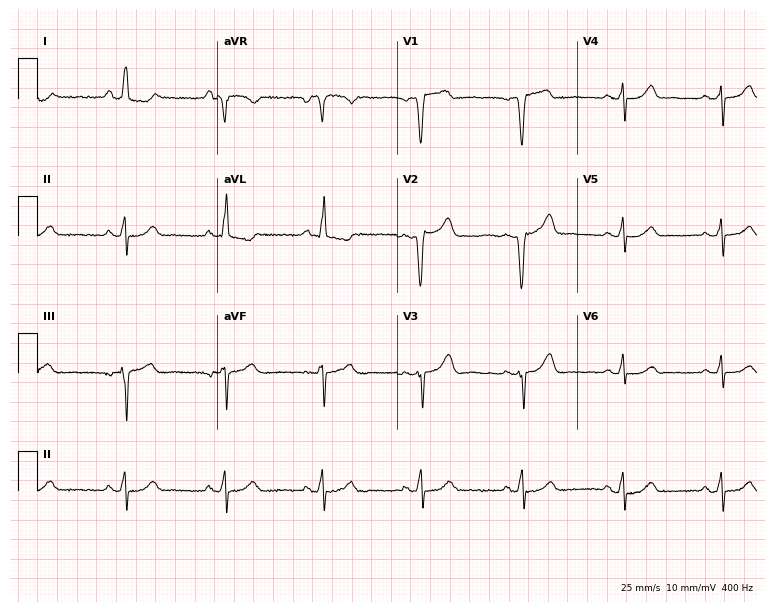
Electrocardiogram, a woman, 34 years old. Of the six screened findings (first-degree AV block, right bundle branch block, left bundle branch block, sinus bradycardia, atrial fibrillation, sinus tachycardia), none is recorded. Findings outside these six are not listed.